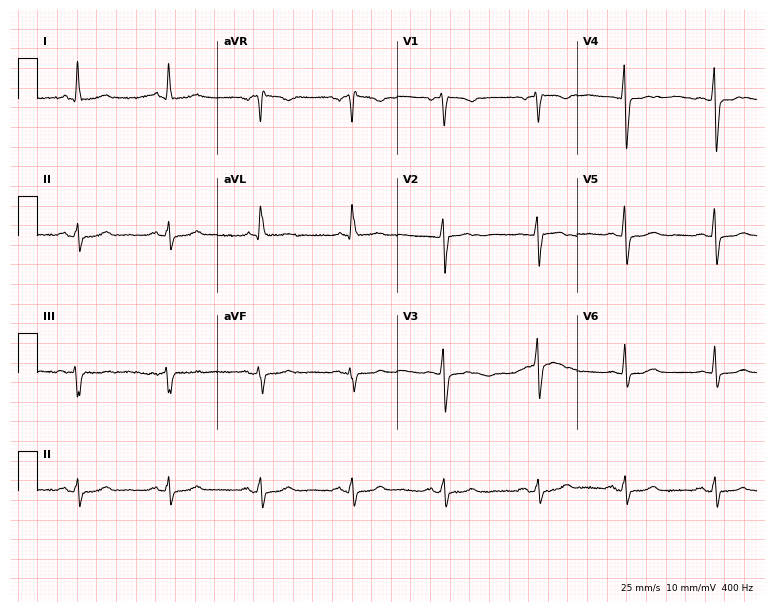
ECG (7.3-second recording at 400 Hz) — a 54-year-old female. Screened for six findings — first-degree AV block, right bundle branch block, left bundle branch block, sinus bradycardia, atrial fibrillation, sinus tachycardia — none is recorded. Findings outside these six are not listed.